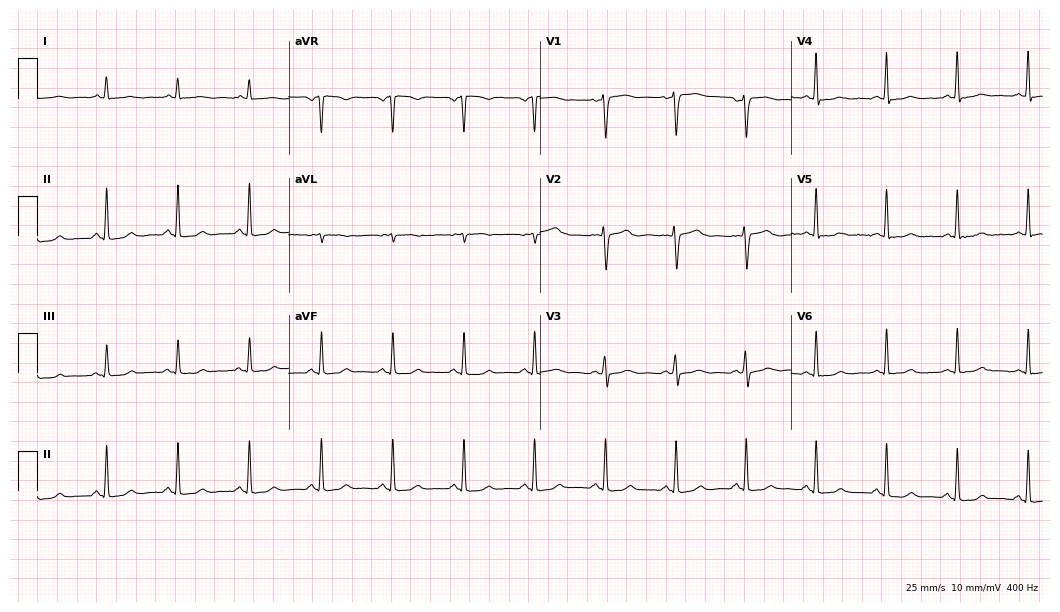
12-lead ECG from a 48-year-old female. No first-degree AV block, right bundle branch block (RBBB), left bundle branch block (LBBB), sinus bradycardia, atrial fibrillation (AF) or sinus tachycardia recorded for this tracing.